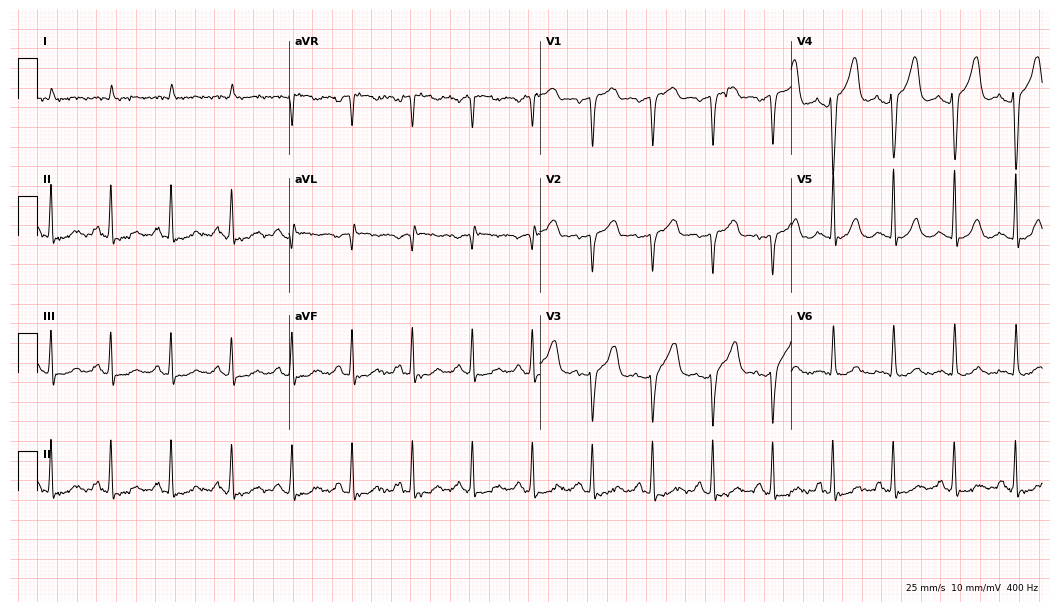
ECG — a male, 78 years old. Screened for six findings — first-degree AV block, right bundle branch block, left bundle branch block, sinus bradycardia, atrial fibrillation, sinus tachycardia — none is recorded.